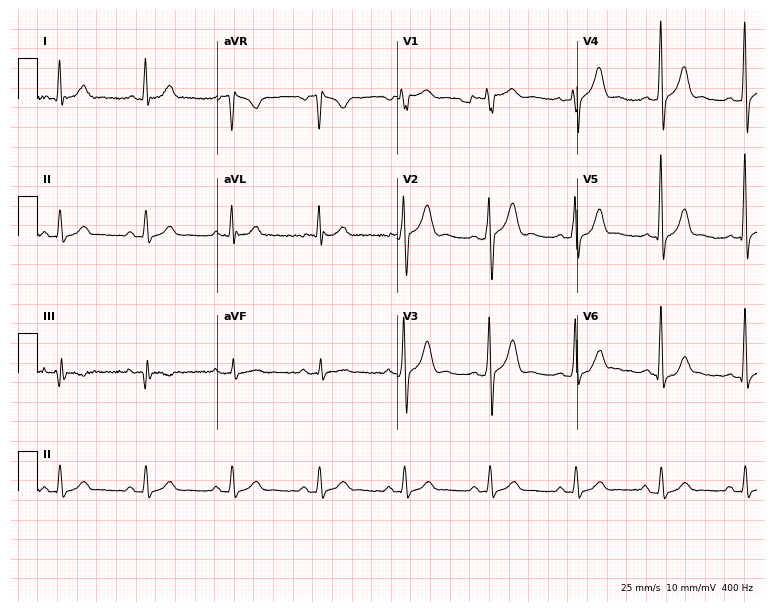
12-lead ECG (7.3-second recording at 400 Hz) from a 47-year-old male. Labelled as a normal ECG.